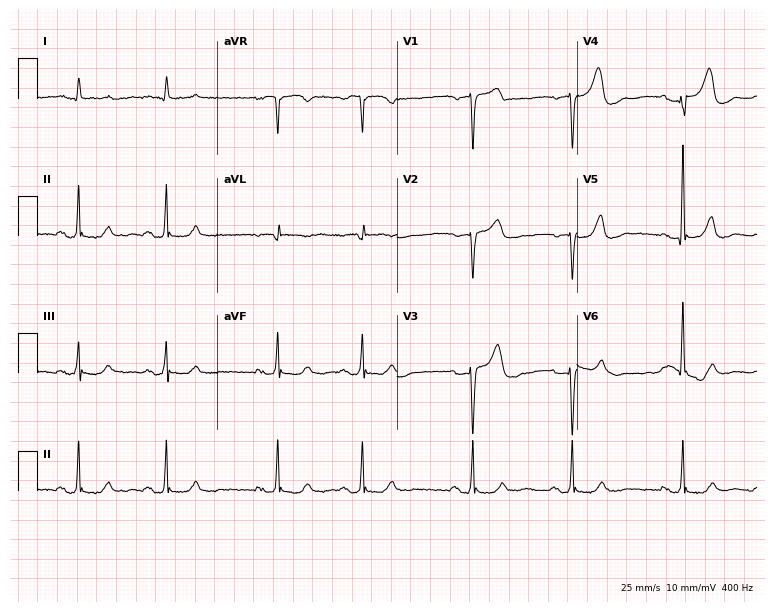
Electrocardiogram (7.3-second recording at 400 Hz), a 72-year-old man. Of the six screened findings (first-degree AV block, right bundle branch block, left bundle branch block, sinus bradycardia, atrial fibrillation, sinus tachycardia), none is recorded.